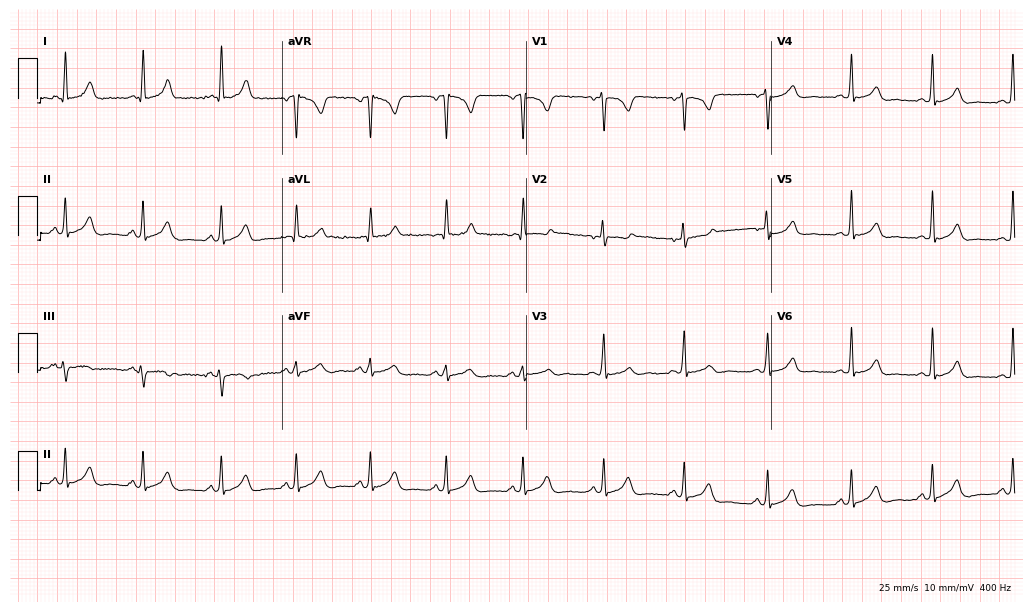
12-lead ECG from a 26-year-old female patient (10-second recording at 400 Hz). Recorded interpretation: within normal limits.